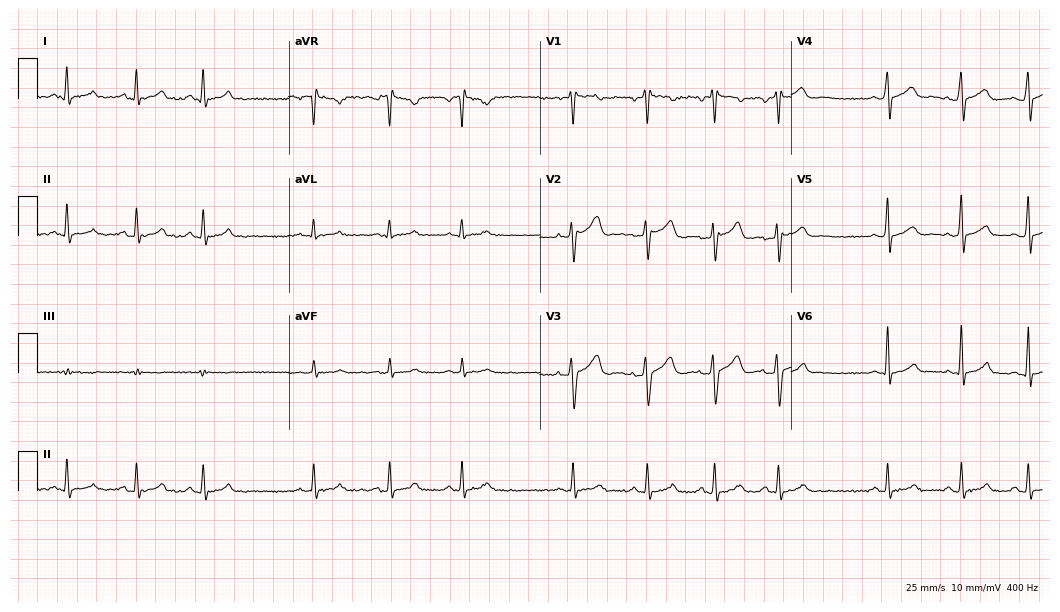
12-lead ECG from a male, 35 years old (10.2-second recording at 400 Hz). No first-degree AV block, right bundle branch block, left bundle branch block, sinus bradycardia, atrial fibrillation or sinus tachycardia recorded for this tracing. Other findings, if any, are not listed.